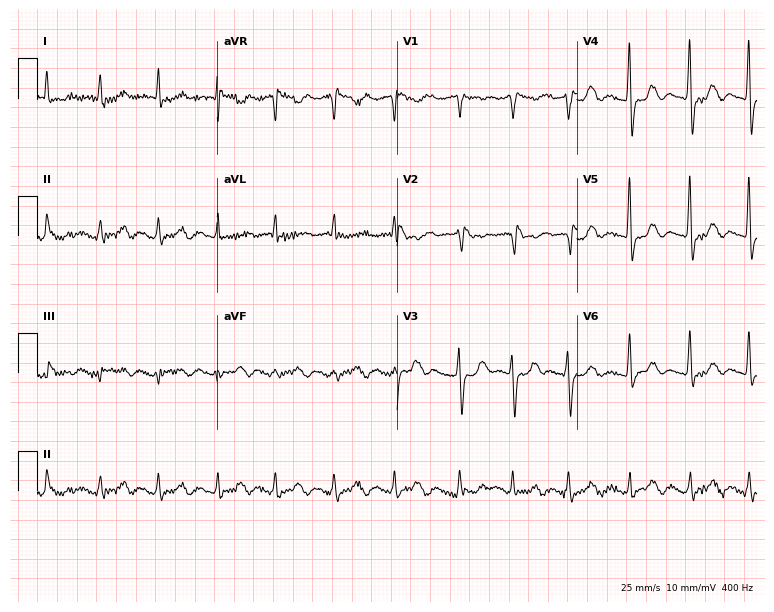
Standard 12-lead ECG recorded from a female patient, 65 years old (7.3-second recording at 400 Hz). None of these six findings is recorded: first-degree AV block, right bundle branch block, left bundle branch block, sinus bradycardia, atrial fibrillation, sinus tachycardia.